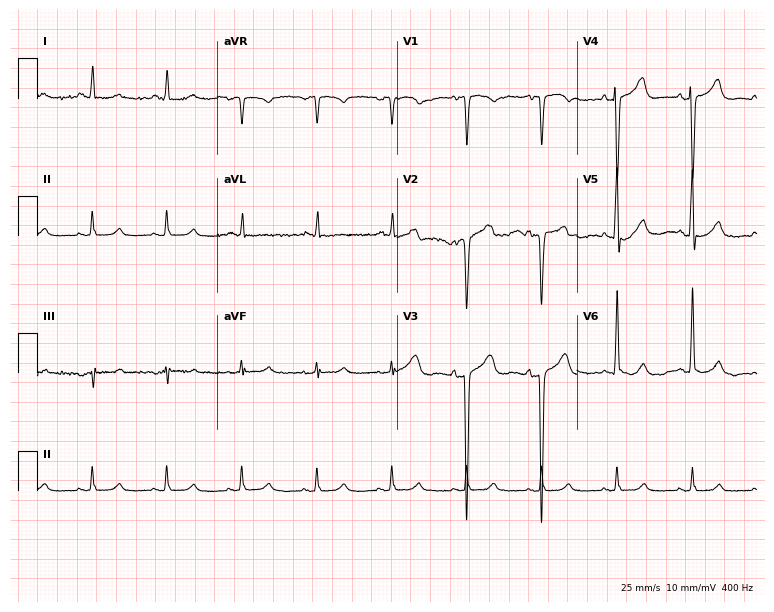
12-lead ECG from a 79-year-old male patient (7.3-second recording at 400 Hz). Recorded interpretation: within normal limits.